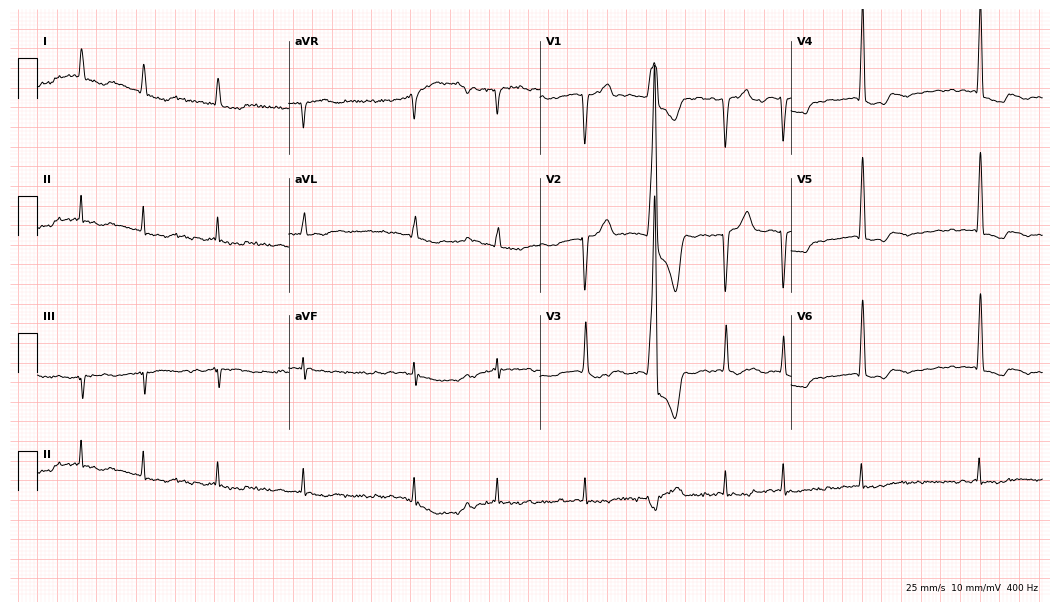
ECG (10.2-second recording at 400 Hz) — an 80-year-old woman. Findings include atrial fibrillation.